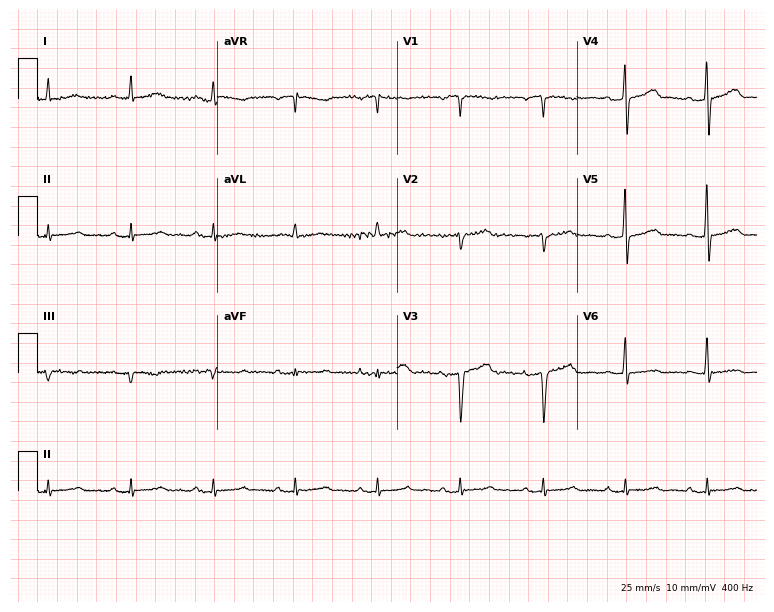
Standard 12-lead ECG recorded from a 79-year-old man (7.3-second recording at 400 Hz). Read as a normal ECG.